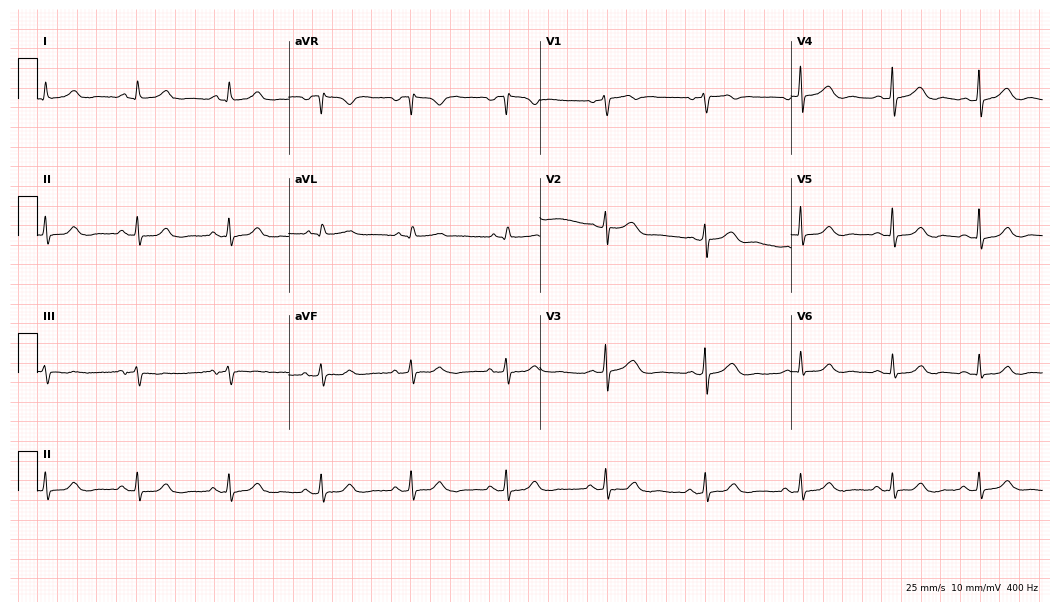
Resting 12-lead electrocardiogram. Patient: a 59-year-old female. Read as a normal ECG.